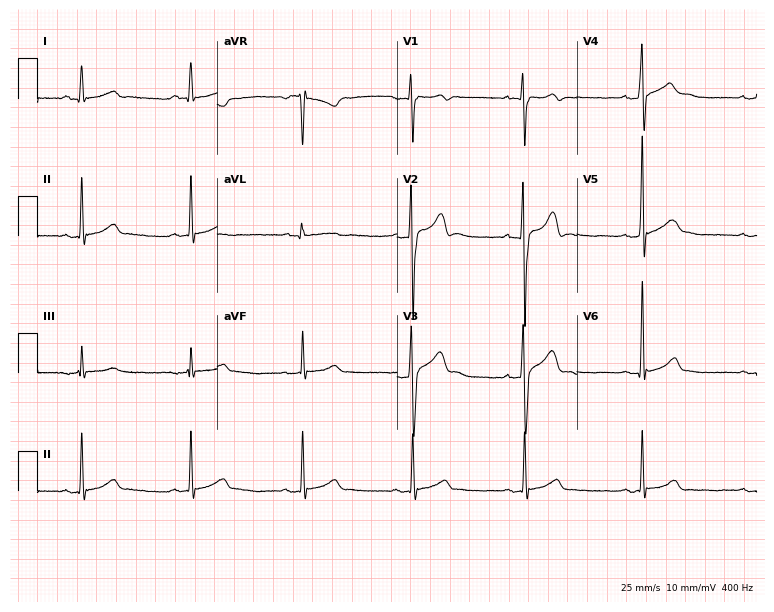
Standard 12-lead ECG recorded from a 21-year-old man. Read as a normal ECG.